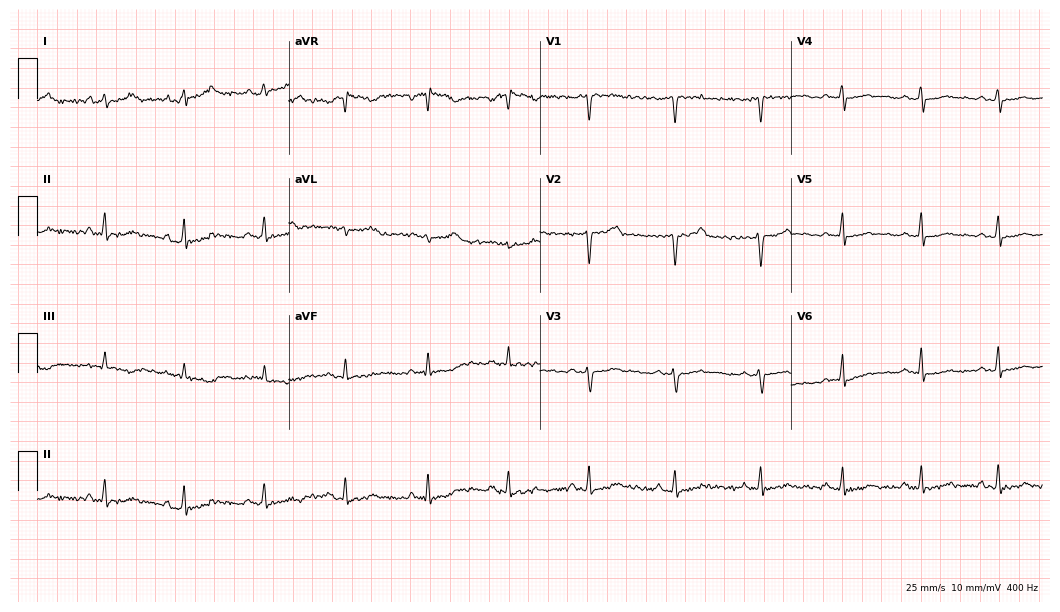
Standard 12-lead ECG recorded from a 41-year-old female patient (10.2-second recording at 400 Hz). None of these six findings is recorded: first-degree AV block, right bundle branch block, left bundle branch block, sinus bradycardia, atrial fibrillation, sinus tachycardia.